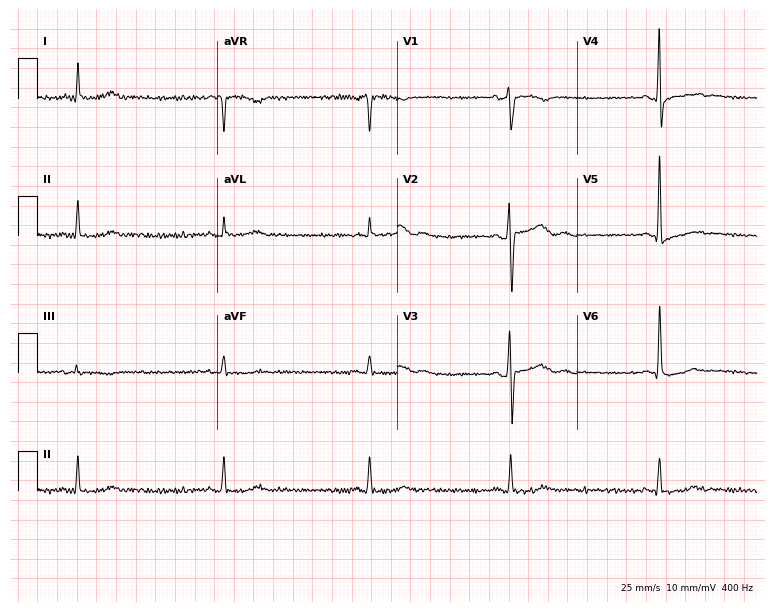
ECG (7.3-second recording at 400 Hz) — a 56-year-old male. Findings include sinus bradycardia (a sinus rate of 50 beats per minute or less).